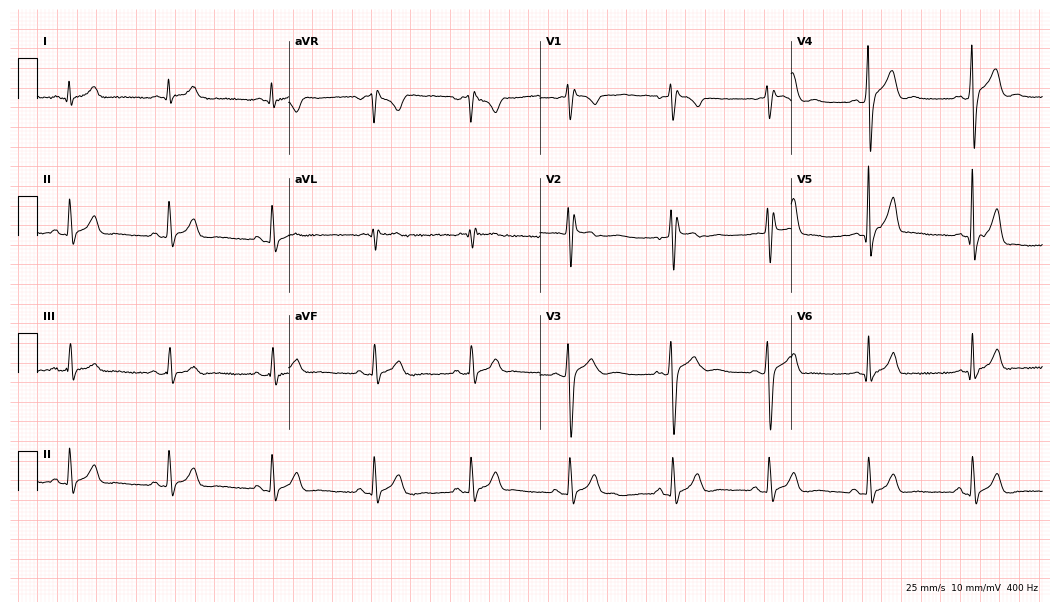
Standard 12-lead ECG recorded from a man, 24 years old. None of these six findings is recorded: first-degree AV block, right bundle branch block (RBBB), left bundle branch block (LBBB), sinus bradycardia, atrial fibrillation (AF), sinus tachycardia.